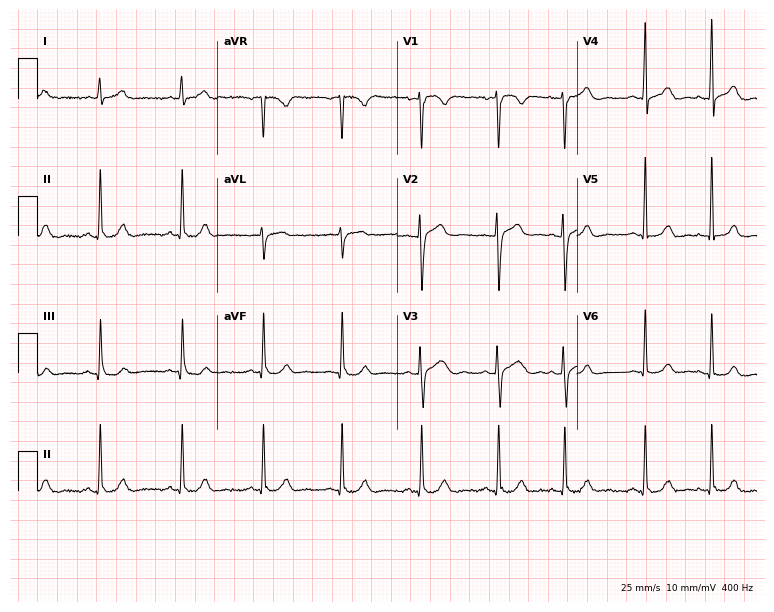
Standard 12-lead ECG recorded from a male patient, 28 years old (7.3-second recording at 400 Hz). None of these six findings is recorded: first-degree AV block, right bundle branch block, left bundle branch block, sinus bradycardia, atrial fibrillation, sinus tachycardia. Only these six findings were labelled.